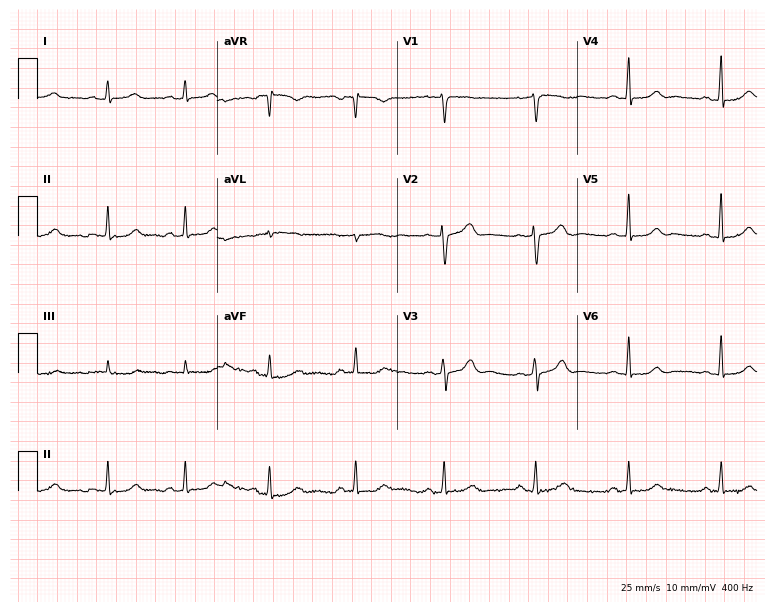
Standard 12-lead ECG recorded from a 46-year-old female. Read as a normal ECG.